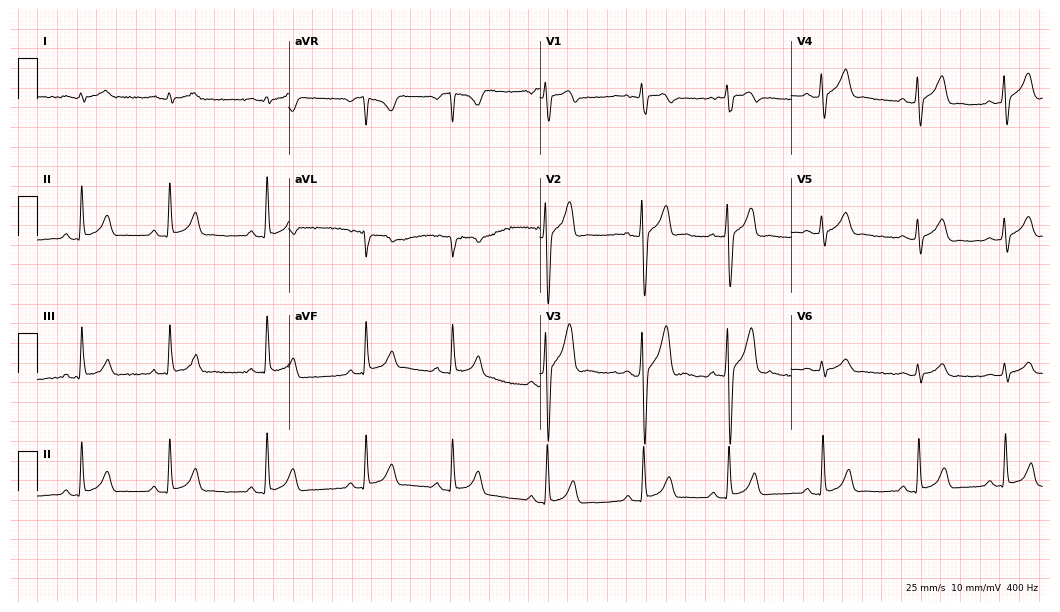
12-lead ECG from a 21-year-old male. Recorded interpretation: within normal limits.